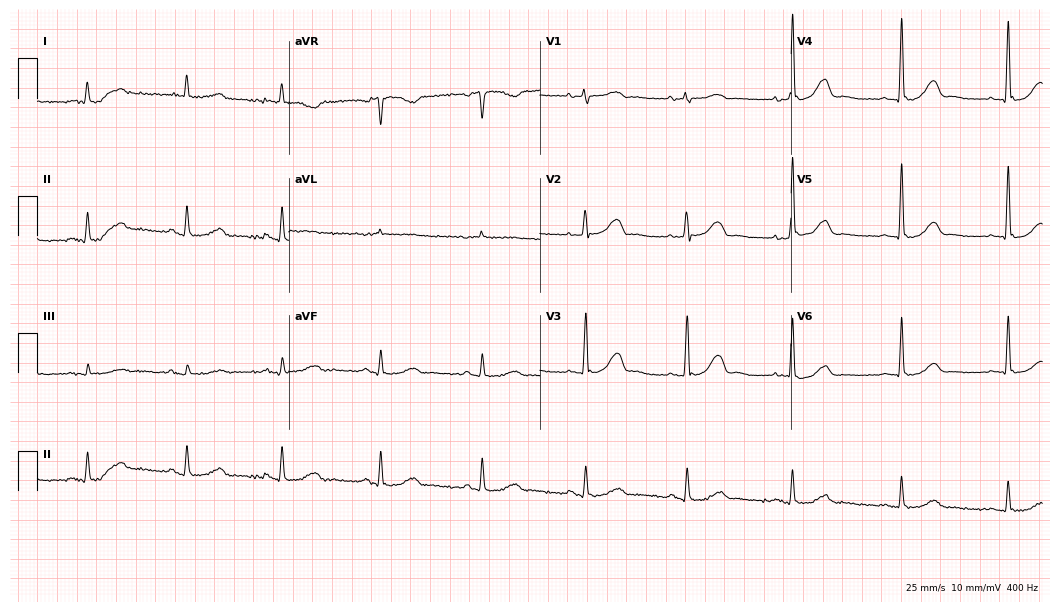
12-lead ECG from a 67-year-old woman. Labelled as a normal ECG.